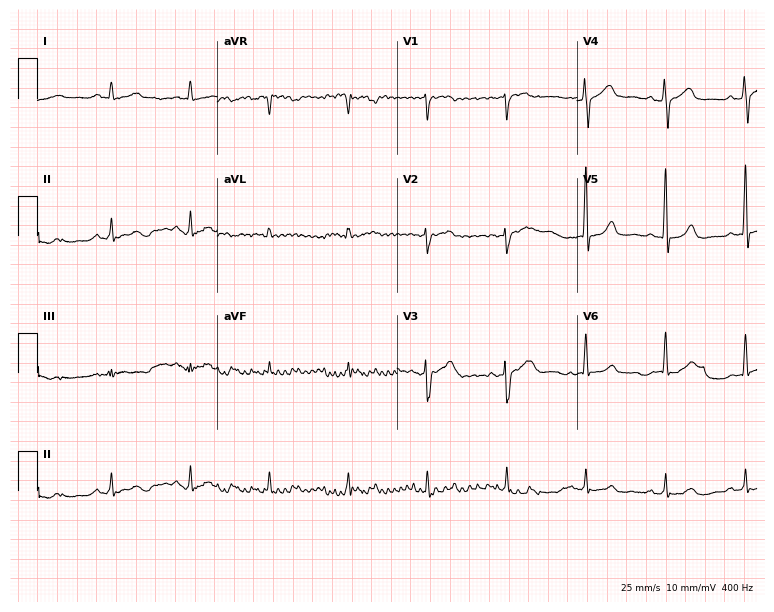
Resting 12-lead electrocardiogram. Patient: a 60-year-old female. None of these six findings is recorded: first-degree AV block, right bundle branch block, left bundle branch block, sinus bradycardia, atrial fibrillation, sinus tachycardia. Other findings, if any, are not listed.